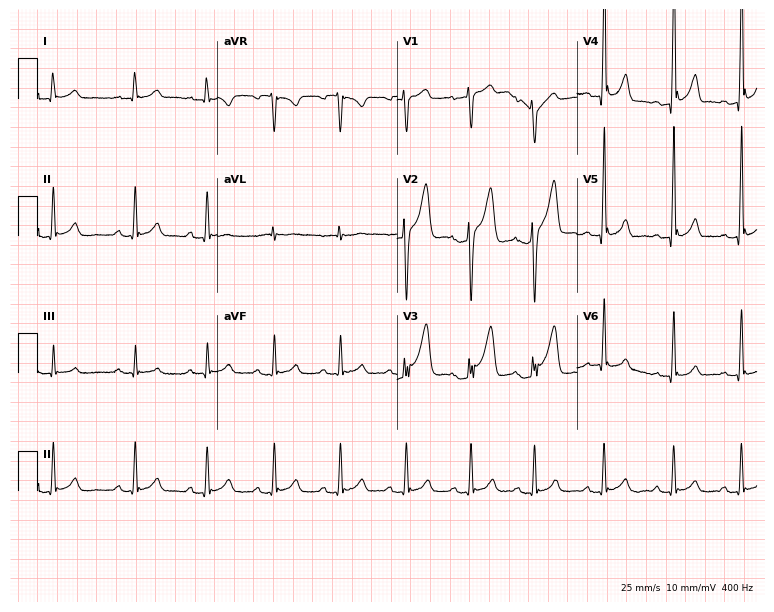
Standard 12-lead ECG recorded from a man, 19 years old. None of these six findings is recorded: first-degree AV block, right bundle branch block, left bundle branch block, sinus bradycardia, atrial fibrillation, sinus tachycardia. Other findings, if any, are not listed.